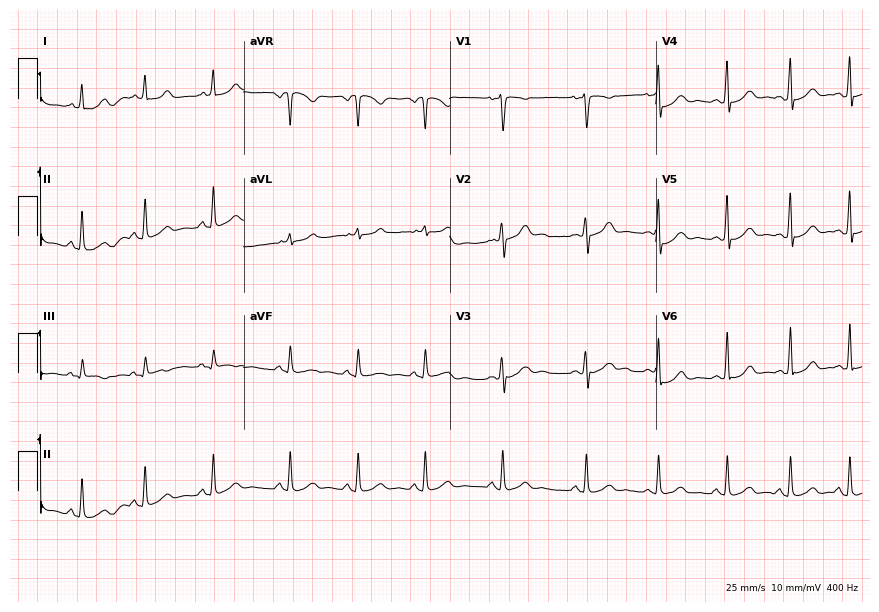
12-lead ECG from a female, 24 years old. Screened for six findings — first-degree AV block, right bundle branch block, left bundle branch block, sinus bradycardia, atrial fibrillation, sinus tachycardia — none is recorded.